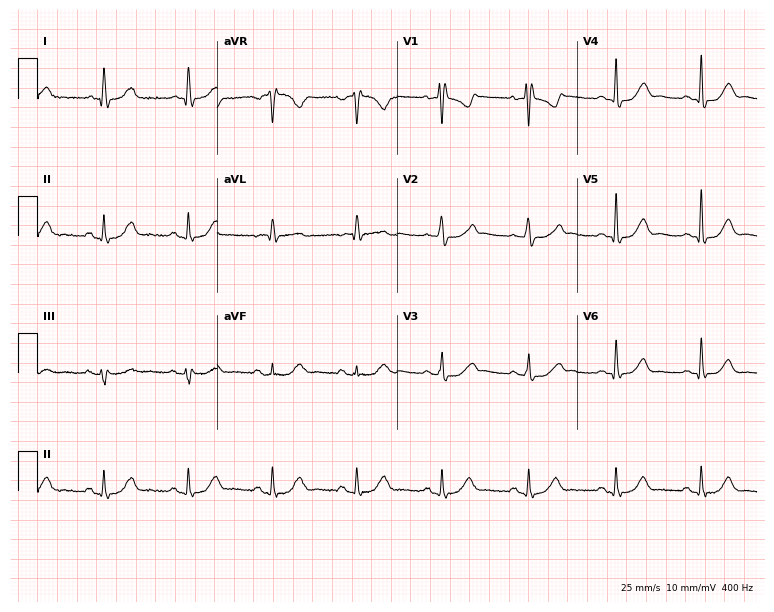
12-lead ECG from a woman, 64 years old. Labelled as a normal ECG.